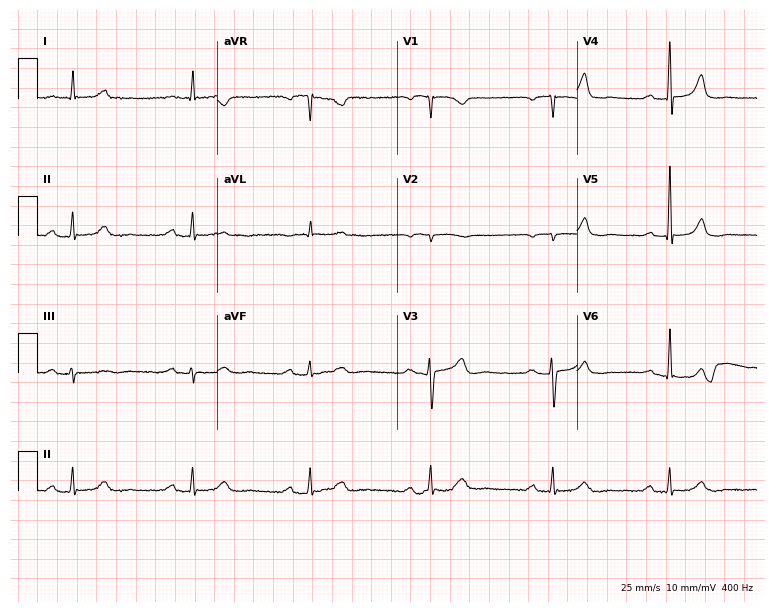
12-lead ECG from a 74-year-old woman (7.3-second recording at 400 Hz). Shows first-degree AV block, right bundle branch block.